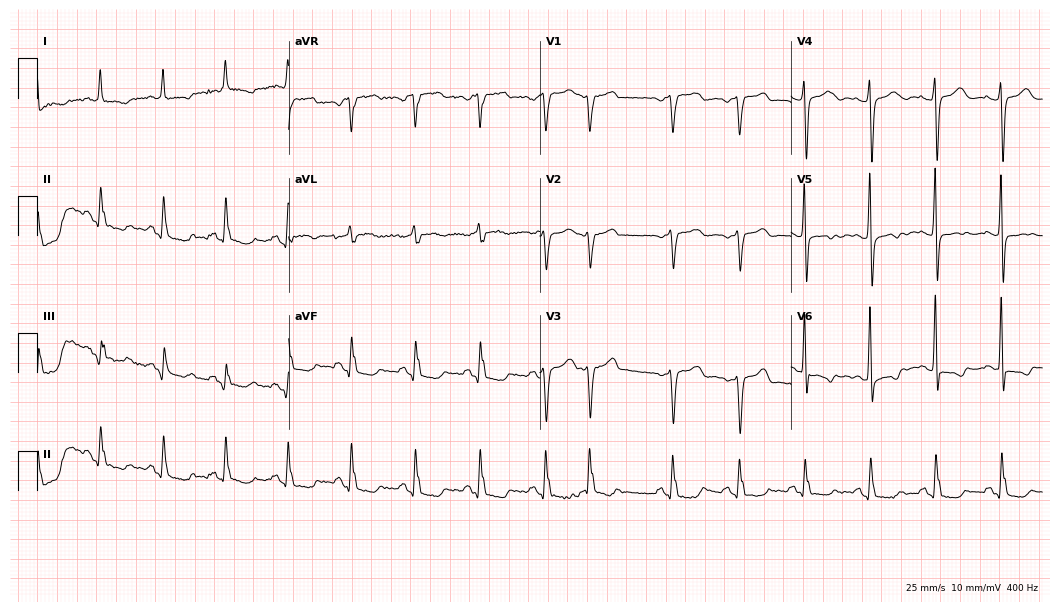
Resting 12-lead electrocardiogram. Patient: a female, 66 years old. None of these six findings is recorded: first-degree AV block, right bundle branch block (RBBB), left bundle branch block (LBBB), sinus bradycardia, atrial fibrillation (AF), sinus tachycardia. Only these six findings were labelled.